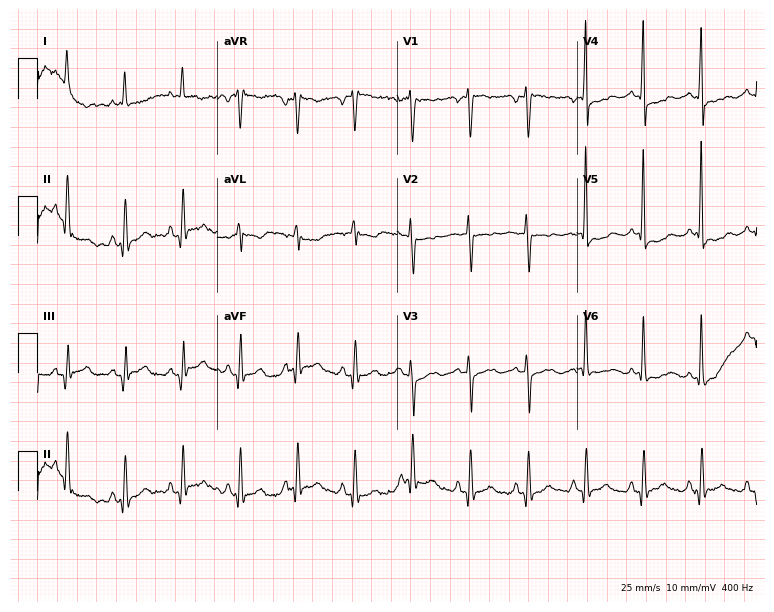
Resting 12-lead electrocardiogram (7.3-second recording at 400 Hz). Patient: a 68-year-old male. The tracing shows sinus tachycardia (a sinus rate of 100 beats per minute or more).